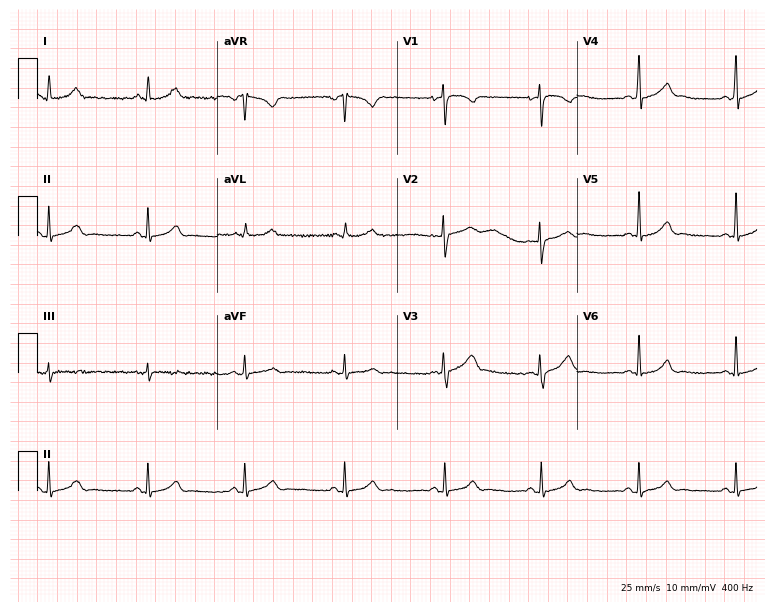
12-lead ECG from a woman, 22 years old. No first-degree AV block, right bundle branch block, left bundle branch block, sinus bradycardia, atrial fibrillation or sinus tachycardia recorded for this tracing. Only these six findings were labelled.